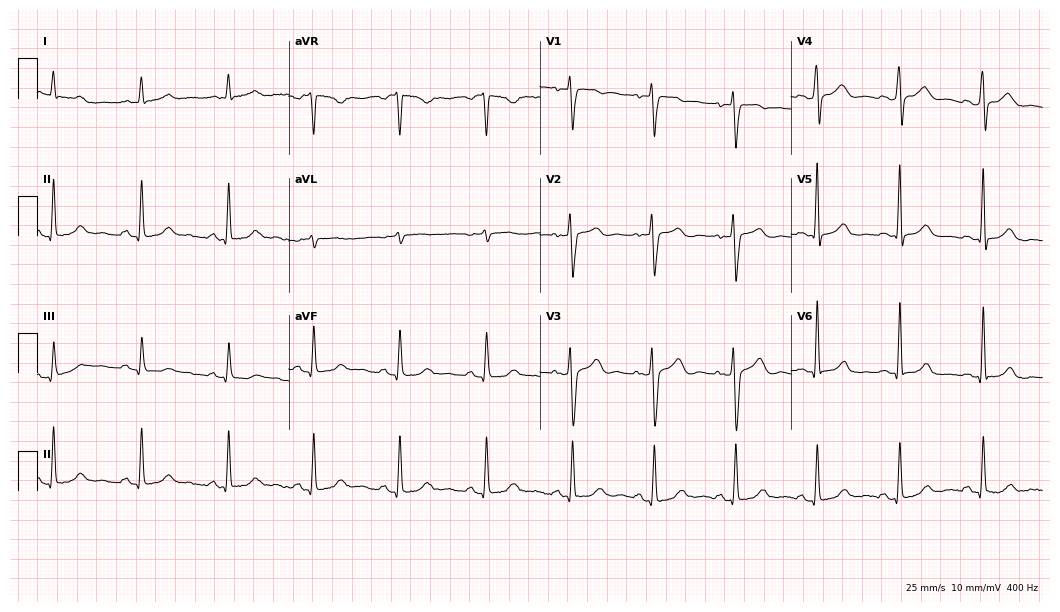
Electrocardiogram, a woman, 41 years old. Overall reading on record: normal ECG.